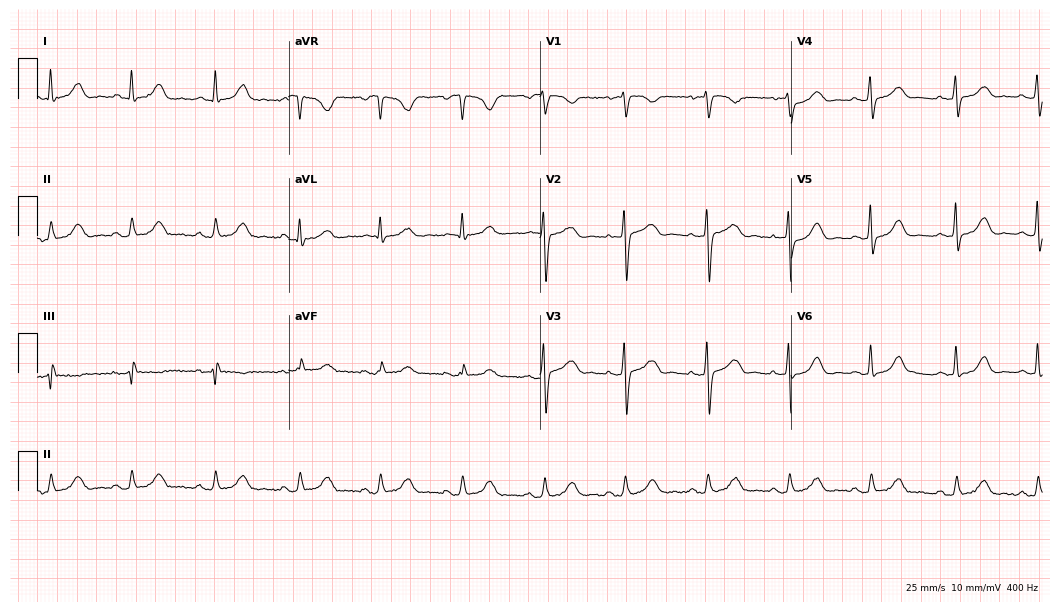
Electrocardiogram (10.2-second recording at 400 Hz), a 64-year-old female patient. Overall reading on record: normal ECG.